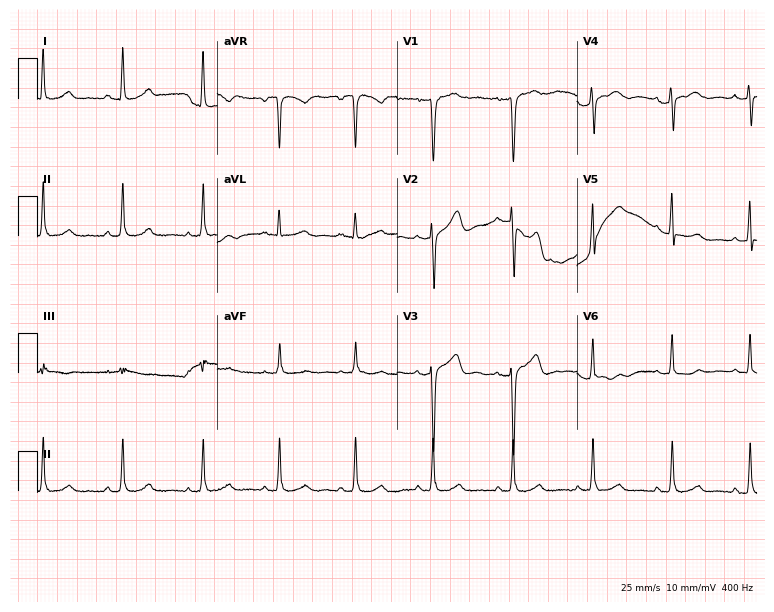
12-lead ECG (7.3-second recording at 400 Hz) from a 49-year-old female patient. Screened for six findings — first-degree AV block, right bundle branch block (RBBB), left bundle branch block (LBBB), sinus bradycardia, atrial fibrillation (AF), sinus tachycardia — none is recorded. Other findings, if any, are not listed.